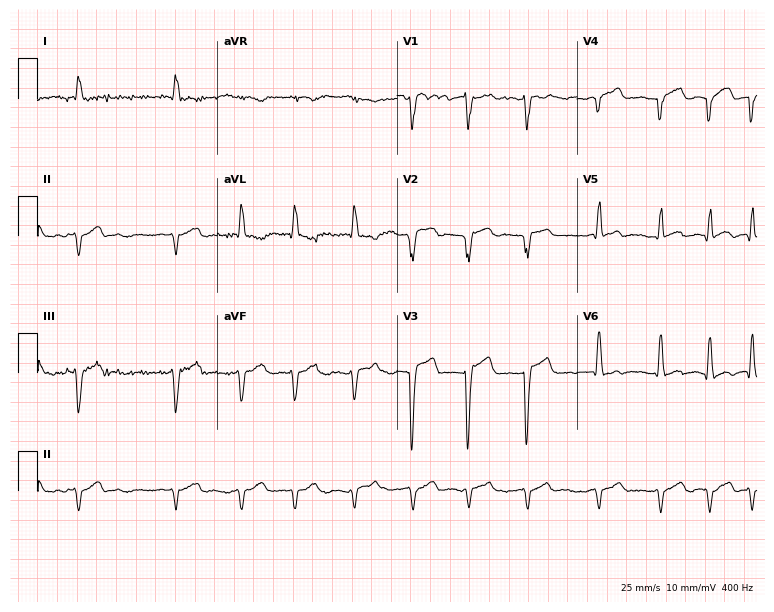
Standard 12-lead ECG recorded from a woman, 78 years old (7.3-second recording at 400 Hz). The tracing shows atrial fibrillation.